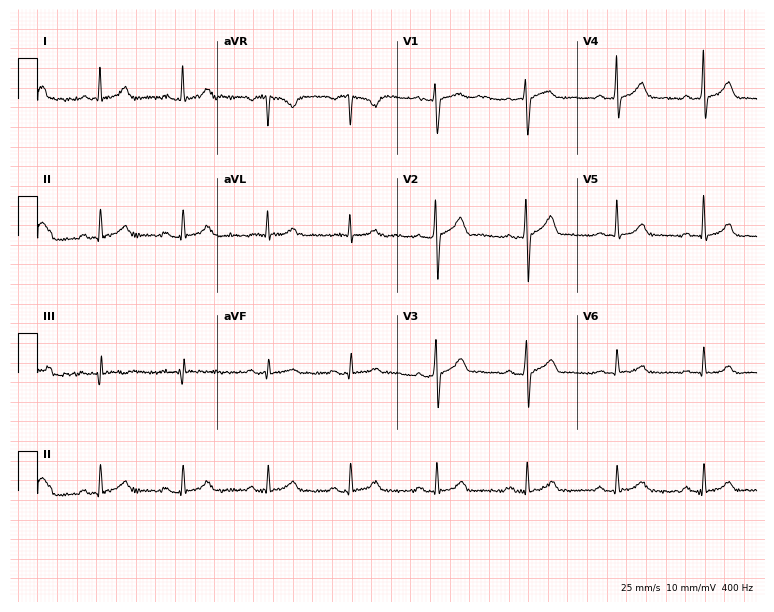
Resting 12-lead electrocardiogram (7.3-second recording at 400 Hz). Patient: a 49-year-old man. Read as a normal ECG.